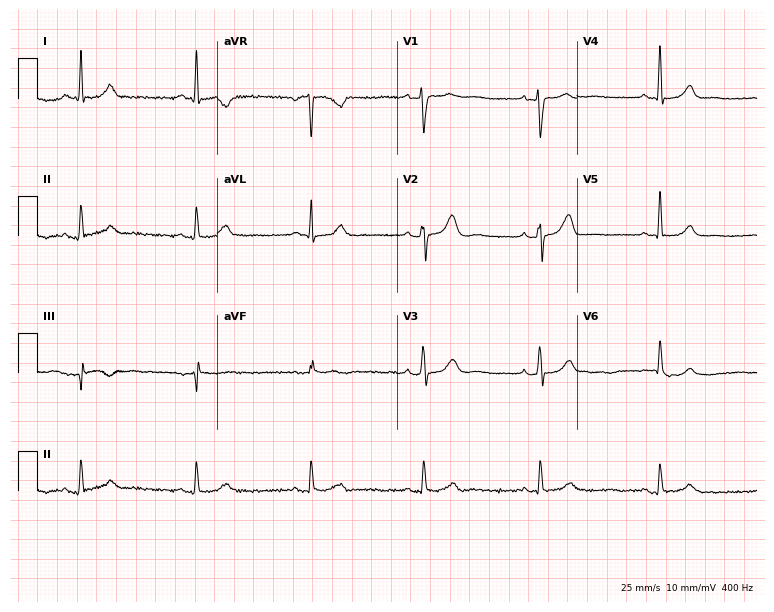
Resting 12-lead electrocardiogram. Patient: a female, 44 years old. The tracing shows sinus bradycardia (a sinus rate of 50 beats per minute or less).